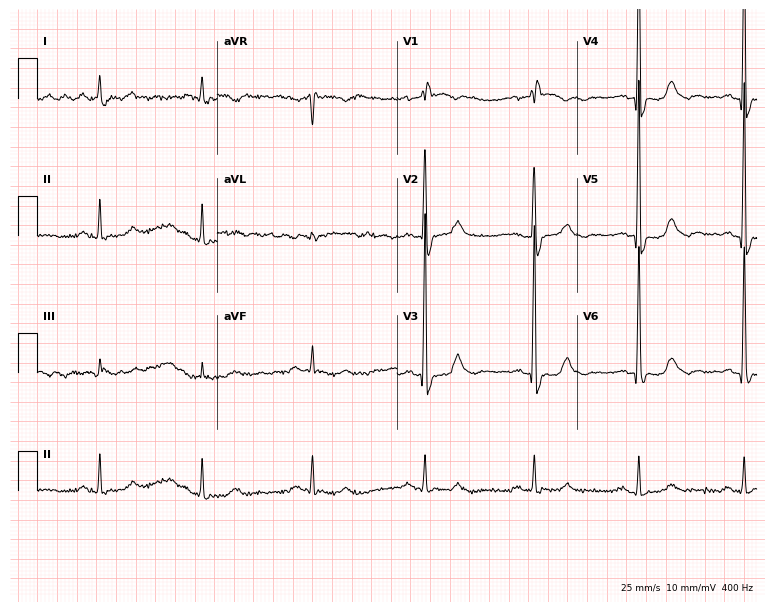
ECG — an 85-year-old male. Findings include right bundle branch block.